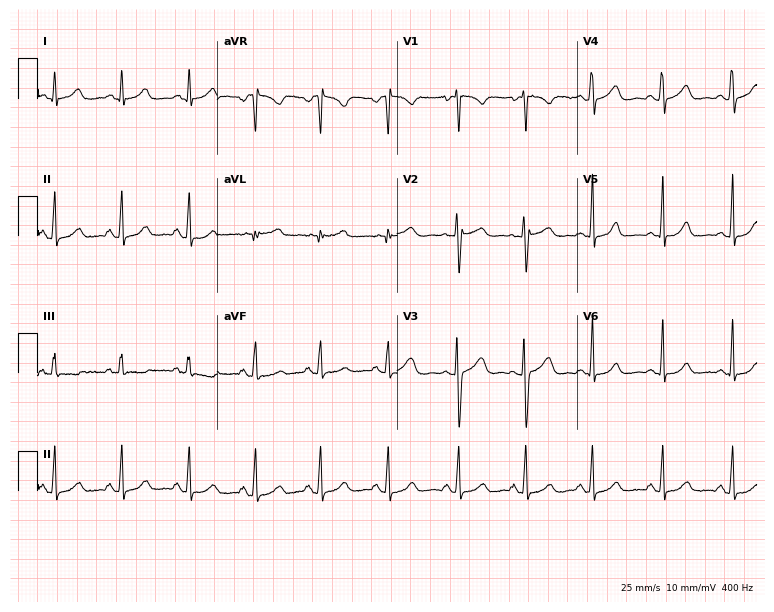
Standard 12-lead ECG recorded from a 37-year-old female patient (7.3-second recording at 400 Hz). Read as a normal ECG.